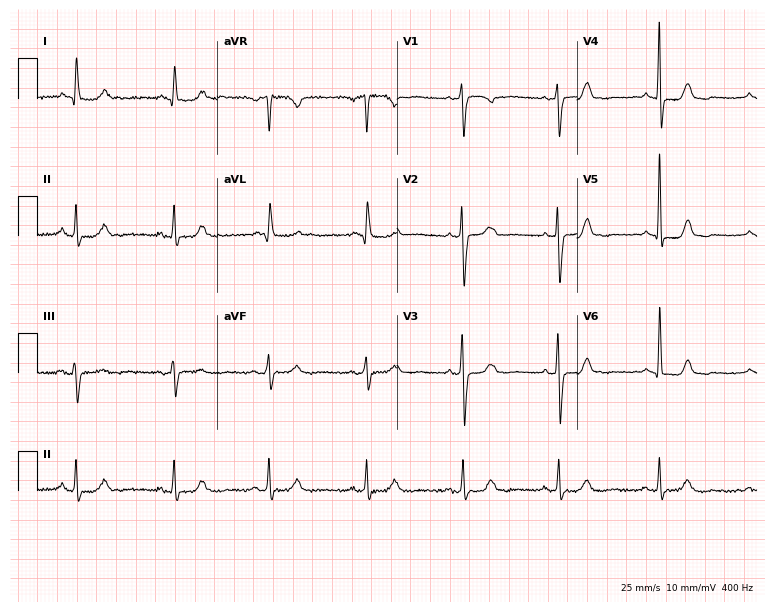
12-lead ECG from a 73-year-old female patient. No first-degree AV block, right bundle branch block, left bundle branch block, sinus bradycardia, atrial fibrillation or sinus tachycardia recorded for this tracing.